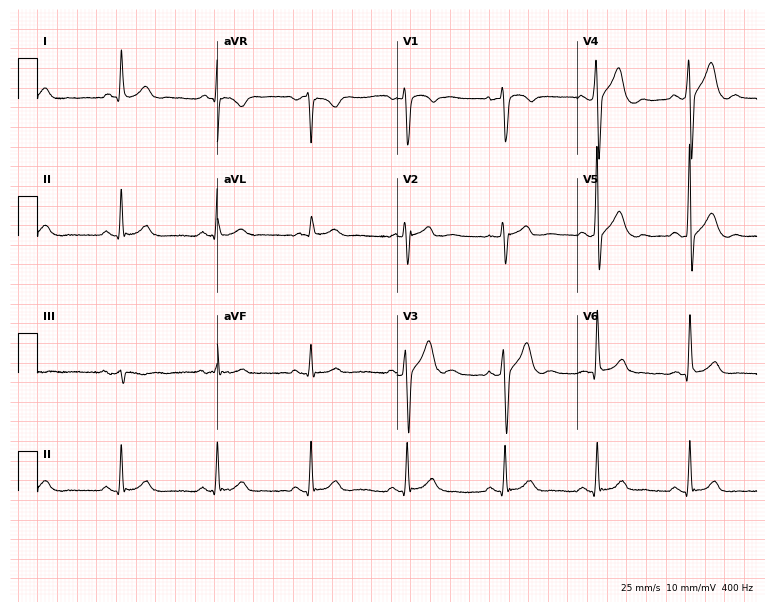
Resting 12-lead electrocardiogram. Patient: a male, 52 years old. None of these six findings is recorded: first-degree AV block, right bundle branch block (RBBB), left bundle branch block (LBBB), sinus bradycardia, atrial fibrillation (AF), sinus tachycardia. Only these six findings were labelled.